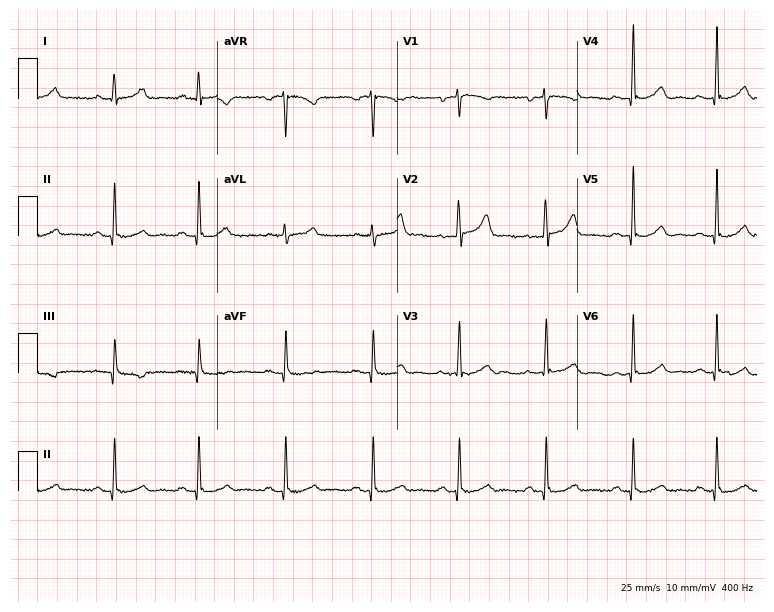
ECG (7.3-second recording at 400 Hz) — a woman, 47 years old. Labelled as a normal ECG.